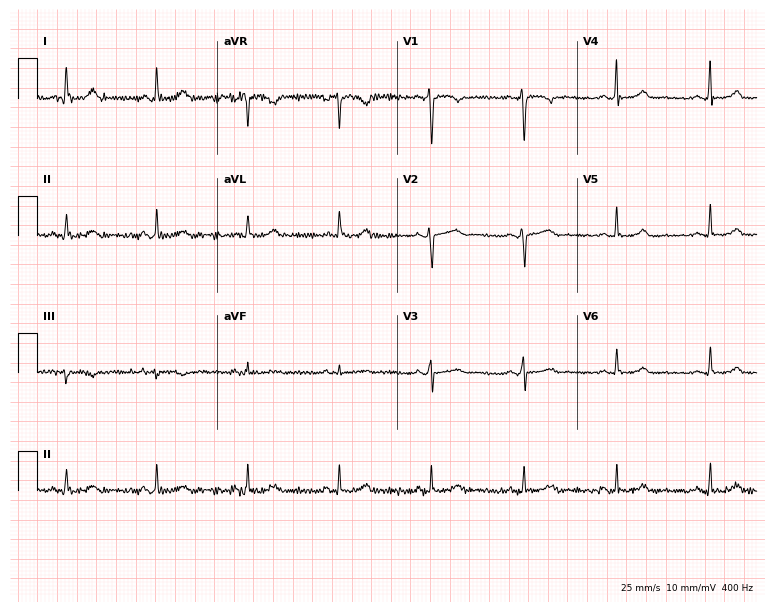
12-lead ECG (7.3-second recording at 400 Hz) from a female patient, 43 years old. Labelled as a normal ECG.